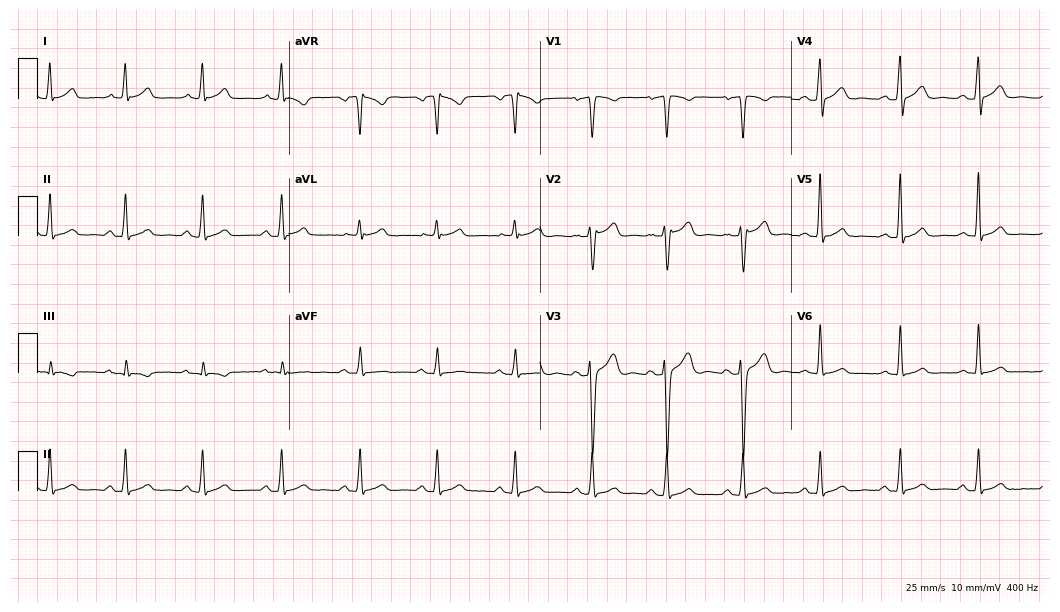
12-lead ECG from a 34-year-old male (10.2-second recording at 400 Hz). No first-degree AV block, right bundle branch block, left bundle branch block, sinus bradycardia, atrial fibrillation or sinus tachycardia recorded for this tracing. Findings outside these six are not listed.